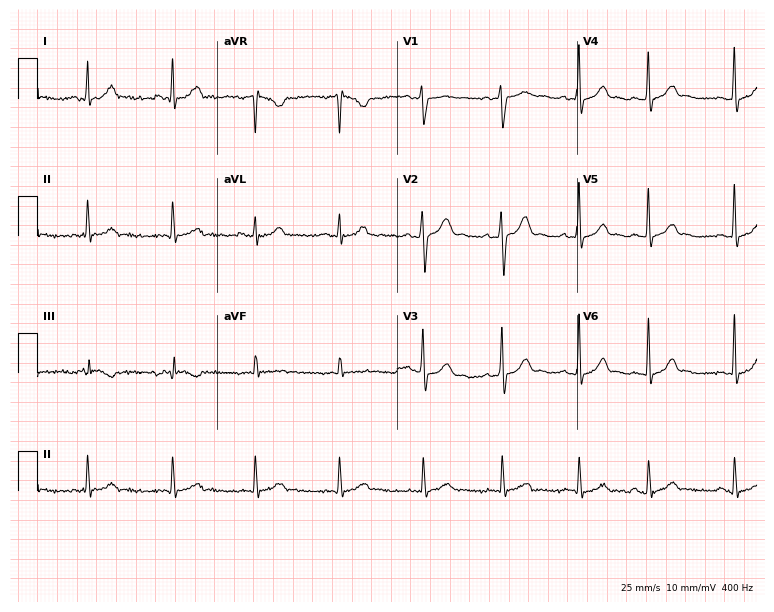
ECG — a man, 22 years old. Screened for six findings — first-degree AV block, right bundle branch block (RBBB), left bundle branch block (LBBB), sinus bradycardia, atrial fibrillation (AF), sinus tachycardia — none is recorded.